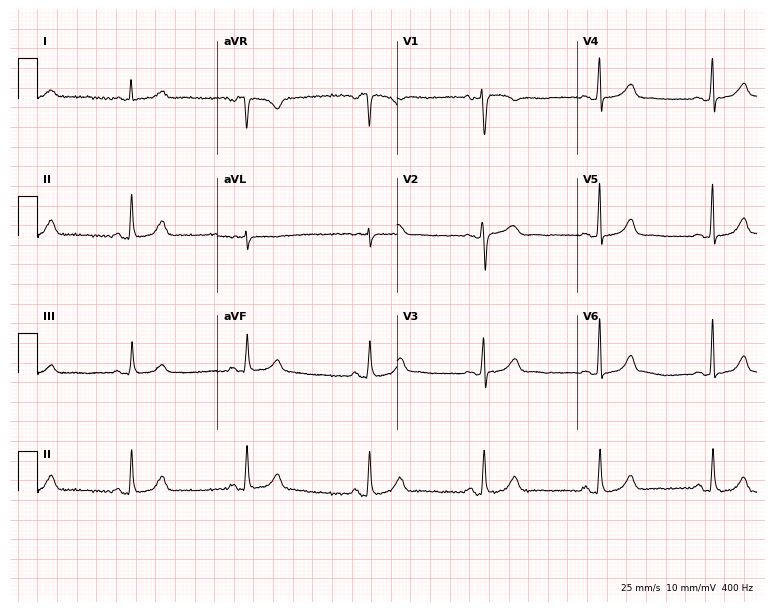
12-lead ECG from a female, 42 years old. Shows sinus bradycardia (a sinus rate of 50 beats per minute or less).